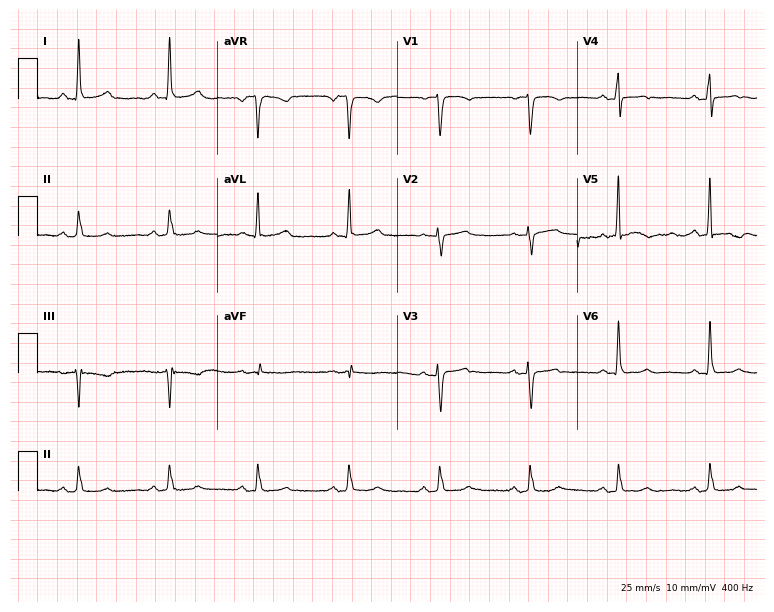
12-lead ECG from a 76-year-old female. Labelled as a normal ECG.